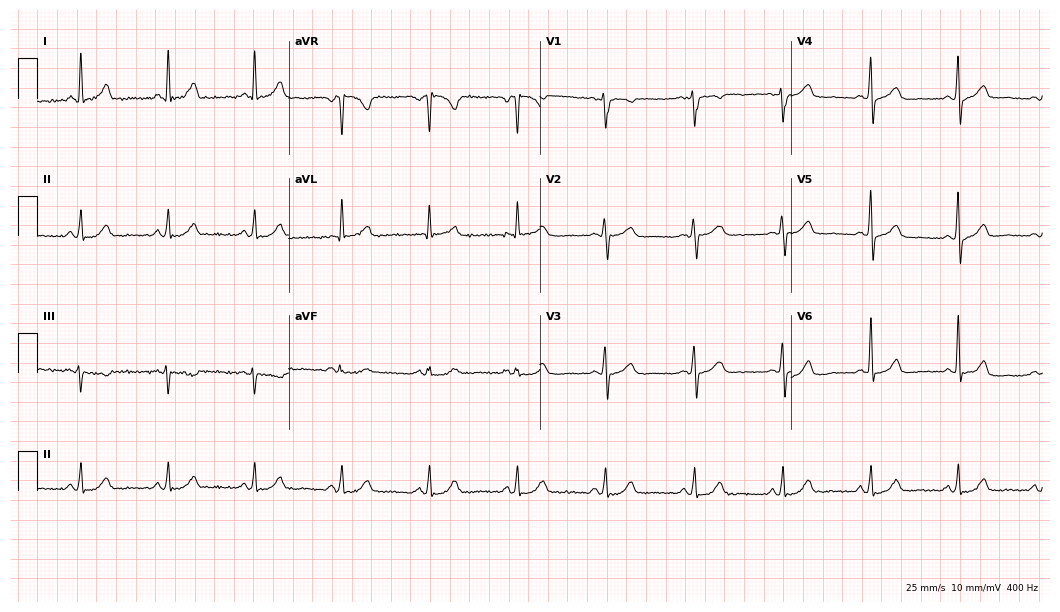
Electrocardiogram, a 58-year-old woman. Of the six screened findings (first-degree AV block, right bundle branch block, left bundle branch block, sinus bradycardia, atrial fibrillation, sinus tachycardia), none is recorded.